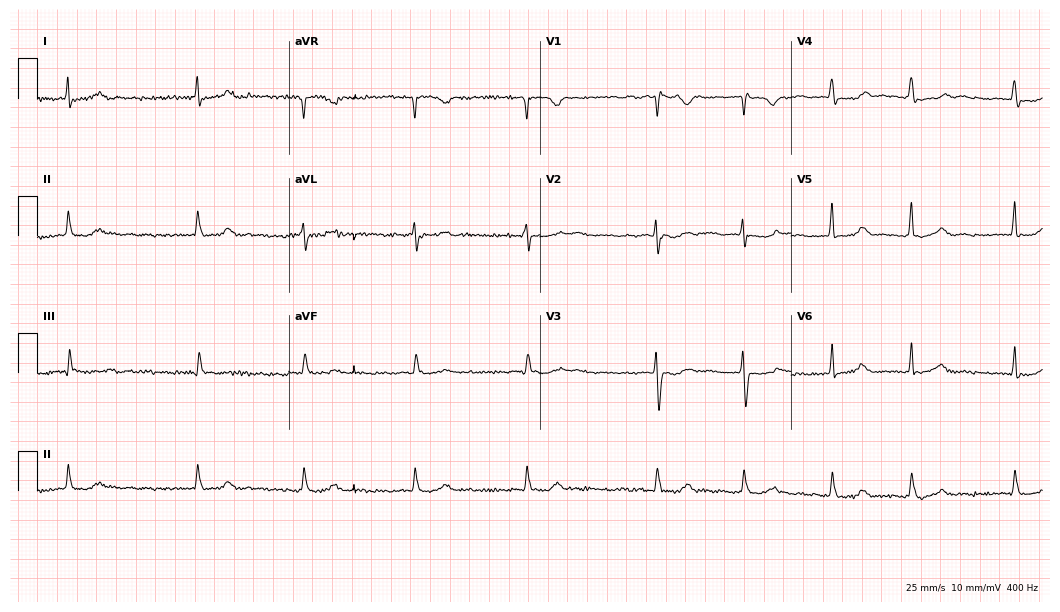
Resting 12-lead electrocardiogram. Patient: a woman, 56 years old. The tracing shows atrial fibrillation.